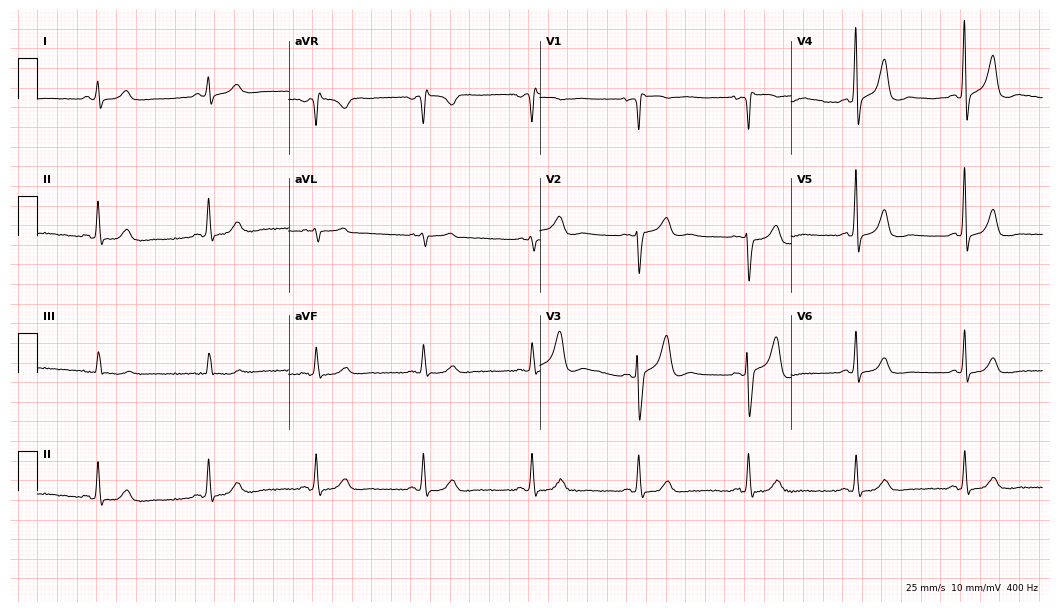
12-lead ECG from a 75-year-old man. No first-degree AV block, right bundle branch block (RBBB), left bundle branch block (LBBB), sinus bradycardia, atrial fibrillation (AF) or sinus tachycardia recorded for this tracing.